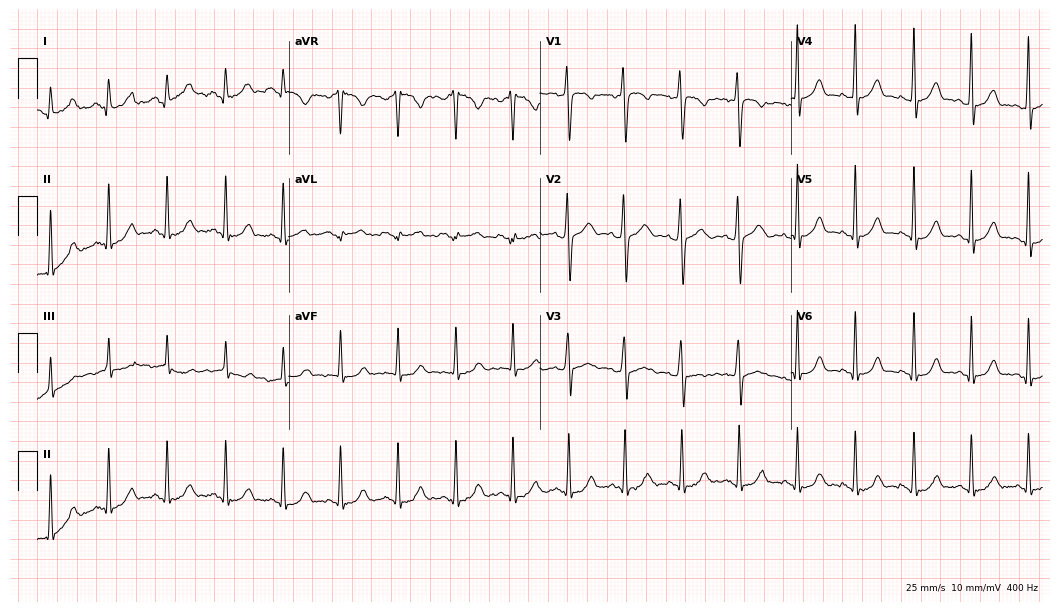
12-lead ECG from a 17-year-old female. Recorded interpretation: within normal limits.